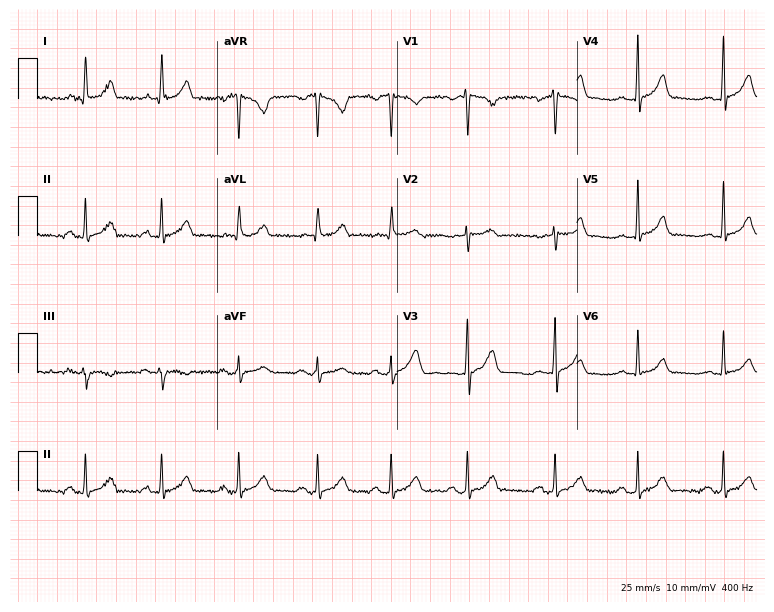
ECG (7.3-second recording at 400 Hz) — a female, 40 years old. Labelled as a normal ECG.